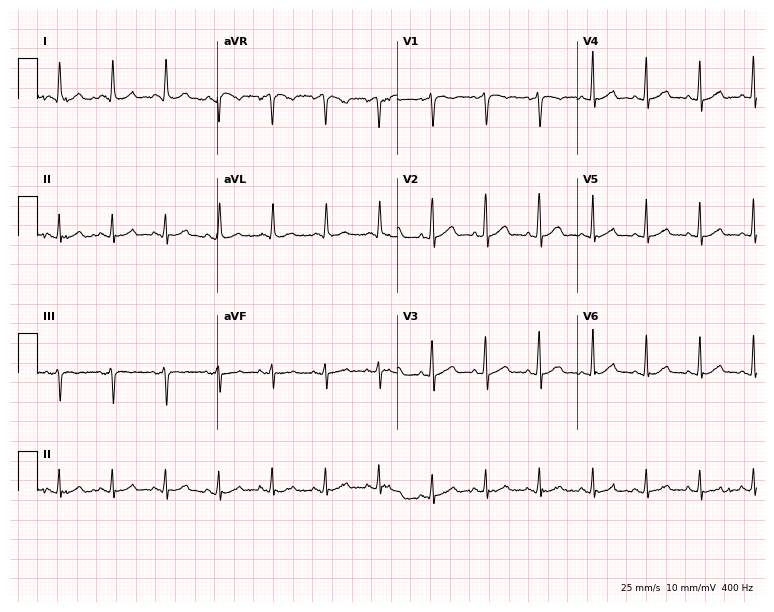
Electrocardiogram, a 78-year-old female. Interpretation includes sinus tachycardia (a sinus rate of 100 beats per minute or more).